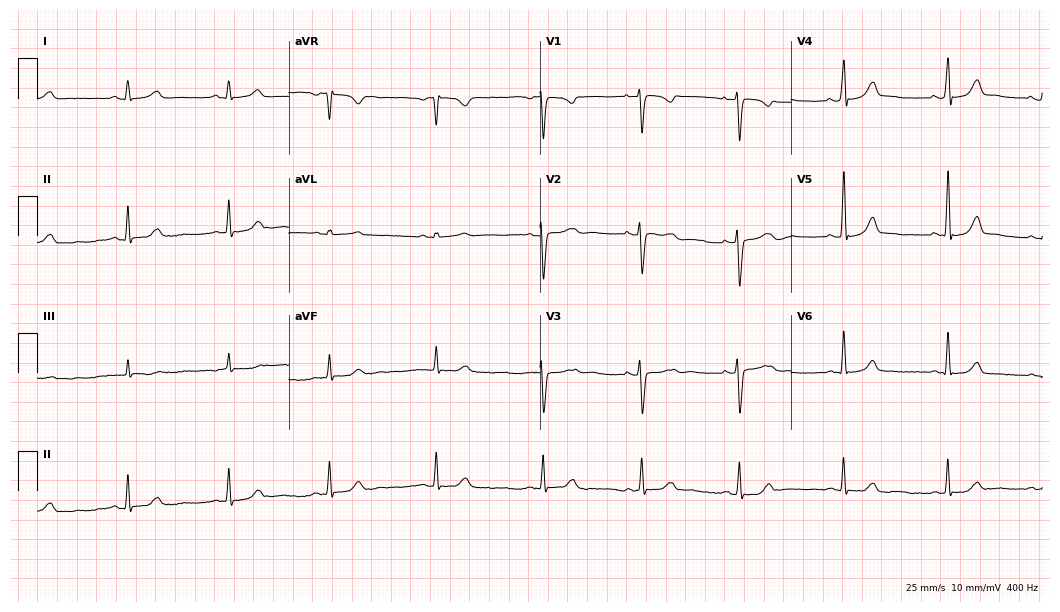
ECG (10.2-second recording at 400 Hz) — a female patient, 25 years old. Screened for six findings — first-degree AV block, right bundle branch block, left bundle branch block, sinus bradycardia, atrial fibrillation, sinus tachycardia — none is recorded. Only these six findings were labelled.